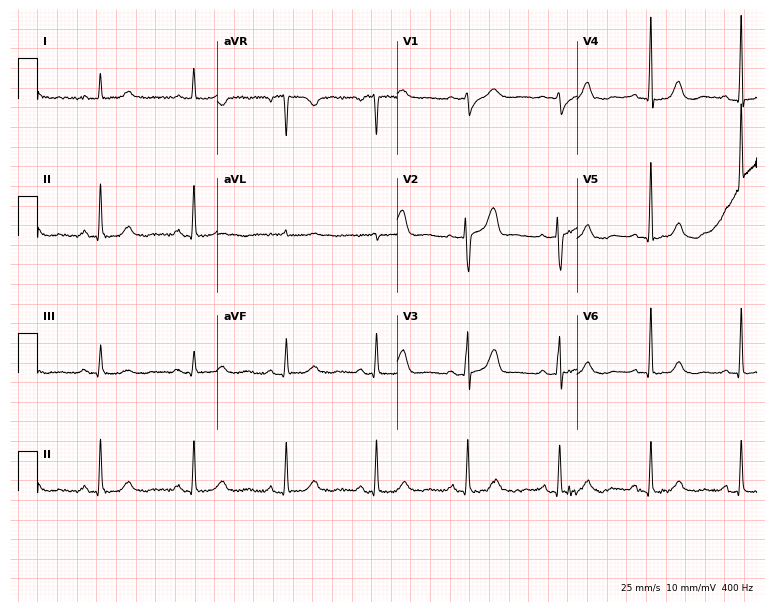
12-lead ECG (7.3-second recording at 400 Hz) from a woman, 75 years old. Labelled as a normal ECG.